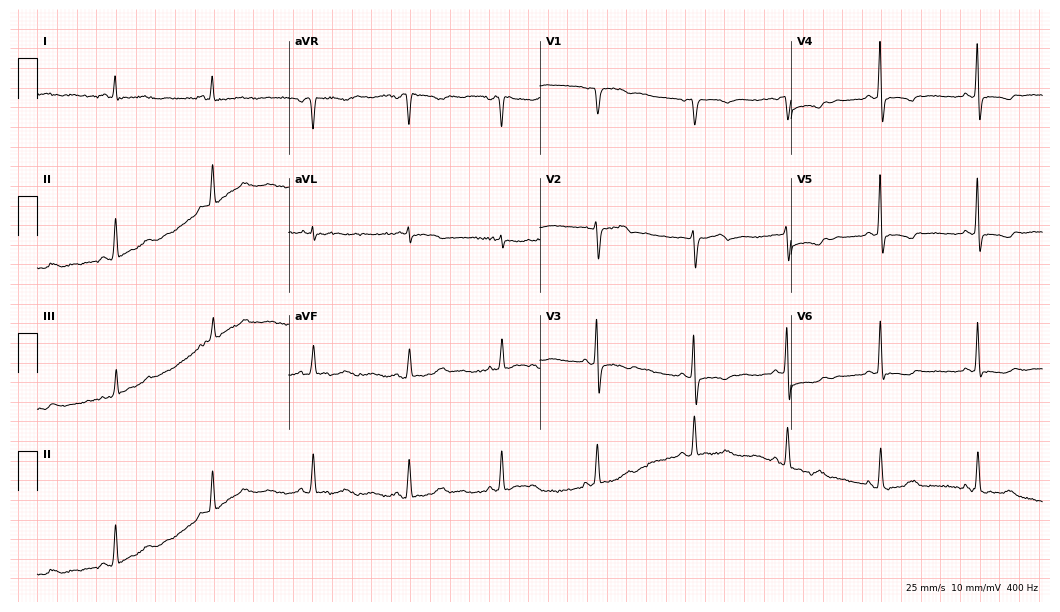
Resting 12-lead electrocardiogram. Patient: a 46-year-old female. None of these six findings is recorded: first-degree AV block, right bundle branch block, left bundle branch block, sinus bradycardia, atrial fibrillation, sinus tachycardia. Other findings, if any, are not listed.